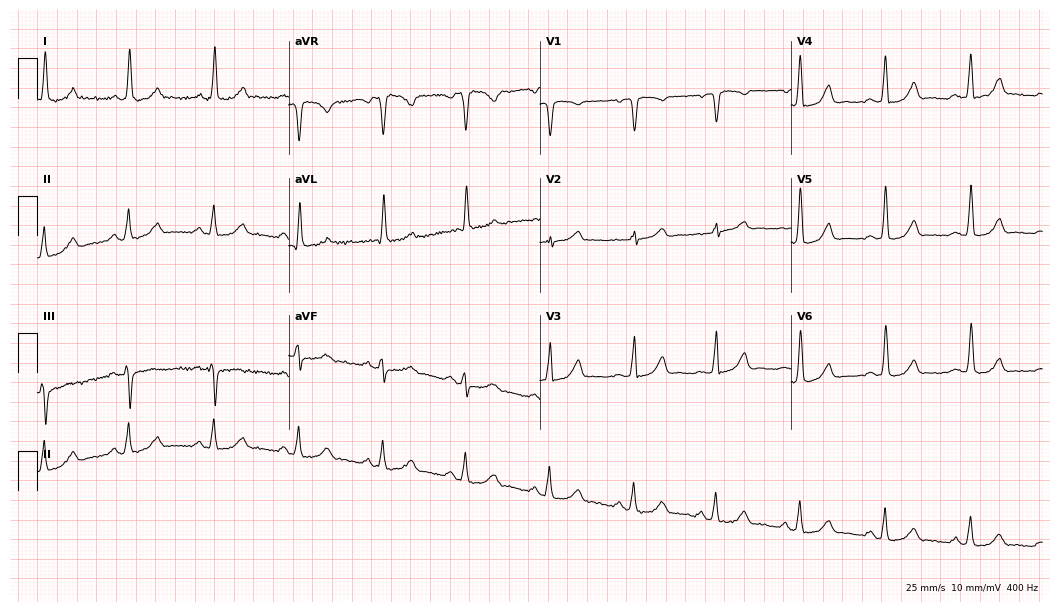
Electrocardiogram, a 70-year-old female. Overall reading on record: normal ECG.